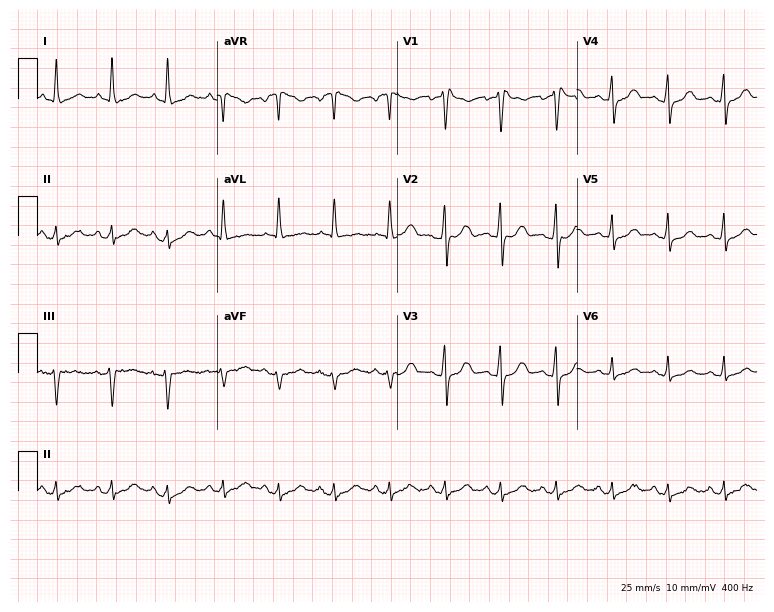
12-lead ECG from a woman, 66 years old. Shows sinus tachycardia (a sinus rate of 100 beats per minute or more).